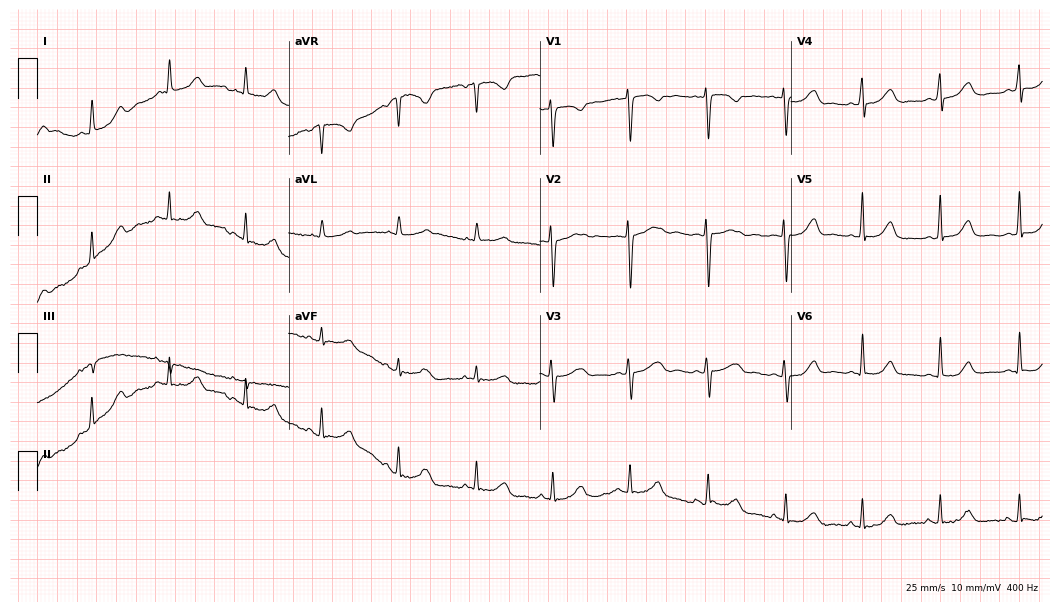
Standard 12-lead ECG recorded from a 43-year-old female patient (10.2-second recording at 400 Hz). Read as a normal ECG.